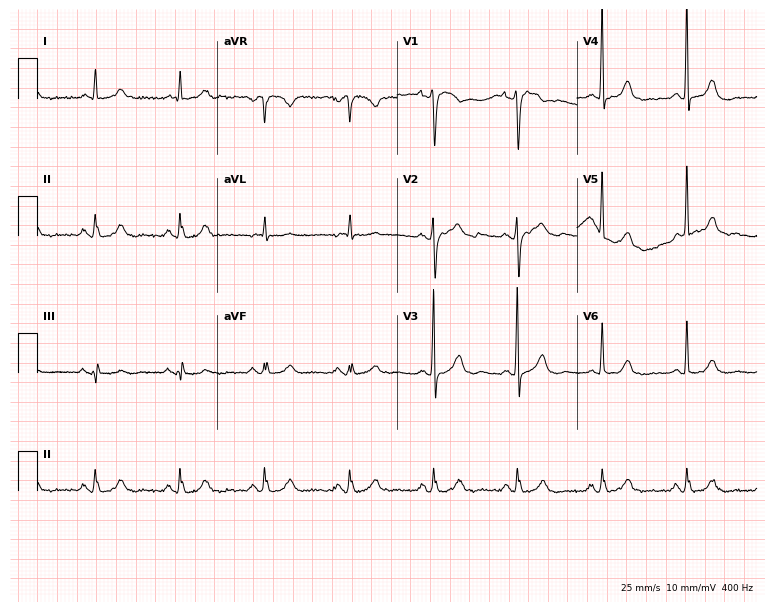
Electrocardiogram (7.3-second recording at 400 Hz), a female, 67 years old. Overall reading on record: normal ECG.